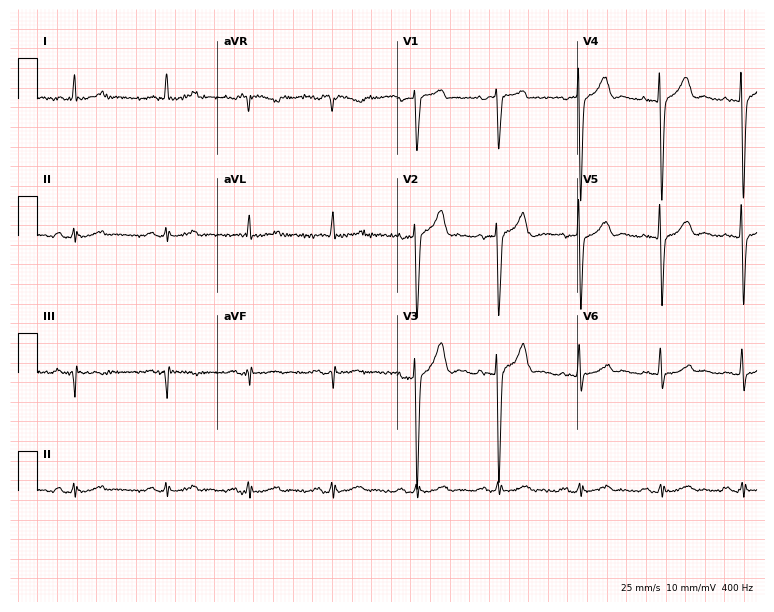
Standard 12-lead ECG recorded from a man, 84 years old (7.3-second recording at 400 Hz). Read as a normal ECG.